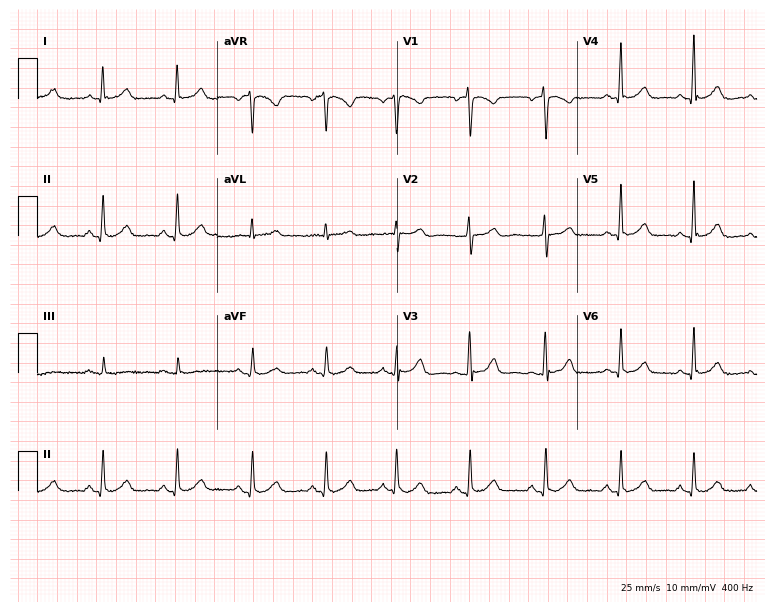
Standard 12-lead ECG recorded from a female patient, 66 years old. Read as a normal ECG.